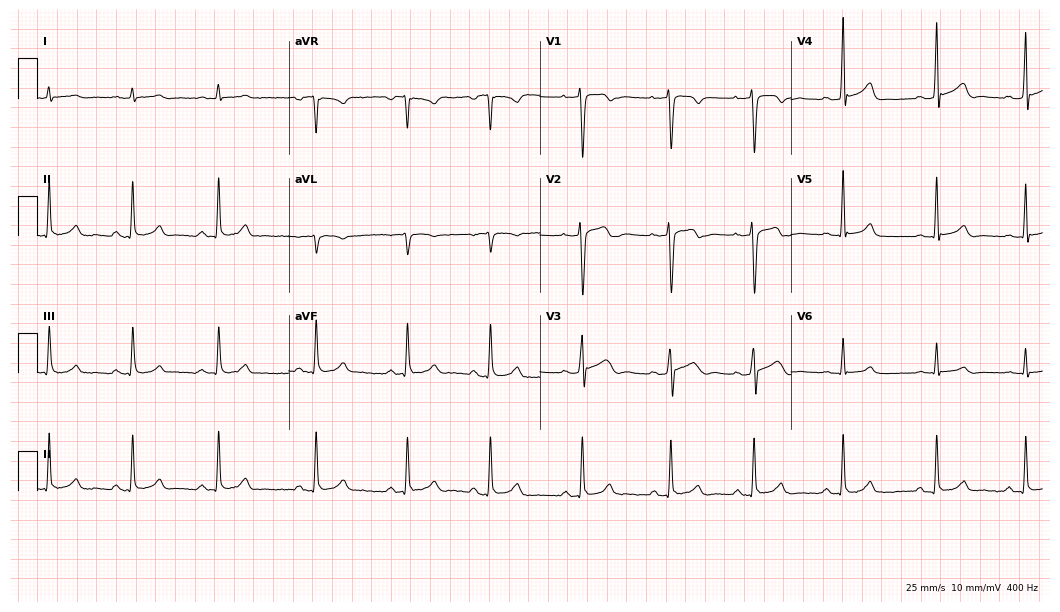
ECG (10.2-second recording at 400 Hz) — a male, 22 years old. Screened for six findings — first-degree AV block, right bundle branch block (RBBB), left bundle branch block (LBBB), sinus bradycardia, atrial fibrillation (AF), sinus tachycardia — none is recorded.